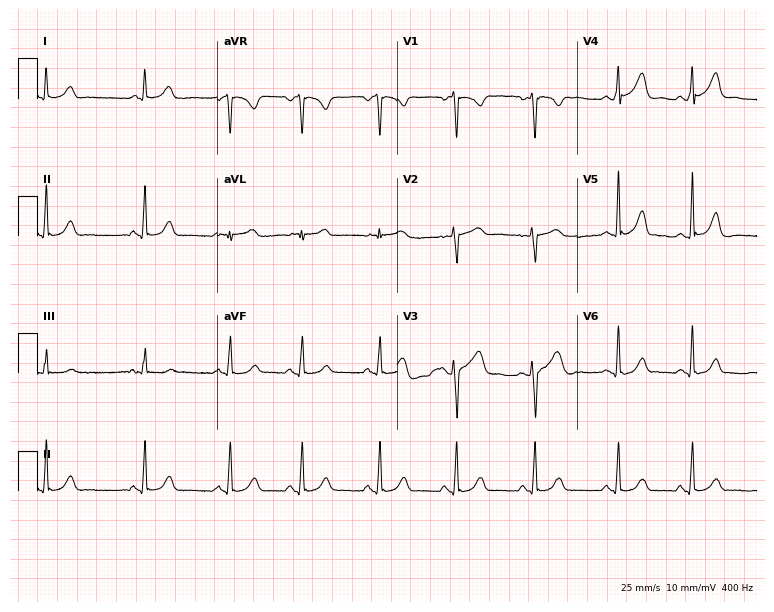
12-lead ECG from a 36-year-old female. Recorded interpretation: within normal limits.